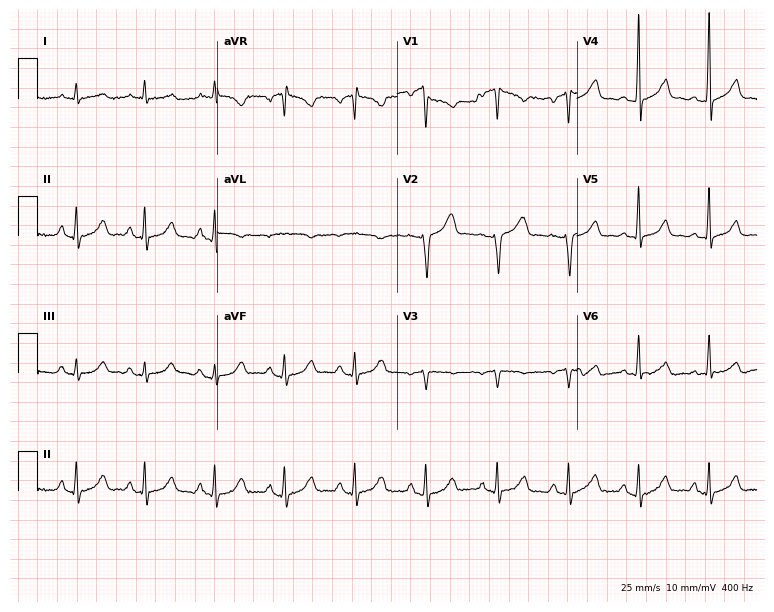
Resting 12-lead electrocardiogram. Patient: a man, 54 years old. Read as a normal ECG.